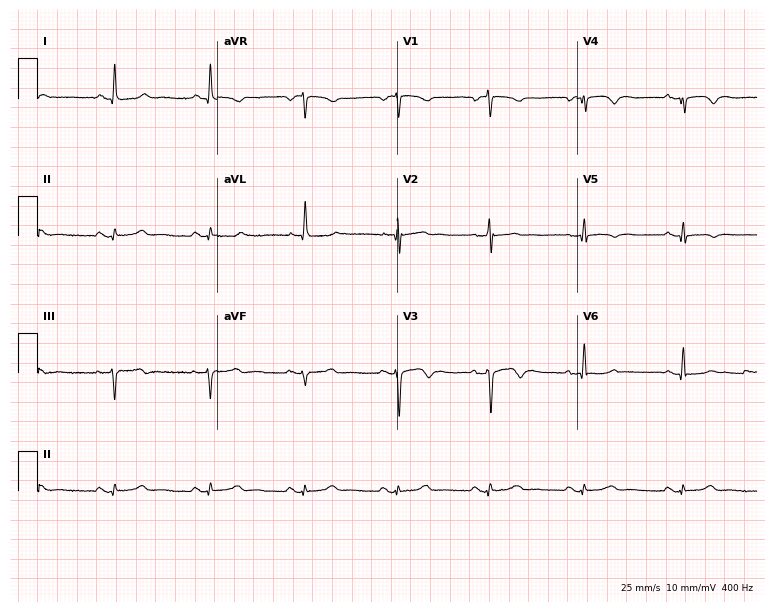
12-lead ECG from a female patient, 71 years old. Screened for six findings — first-degree AV block, right bundle branch block (RBBB), left bundle branch block (LBBB), sinus bradycardia, atrial fibrillation (AF), sinus tachycardia — none is recorded.